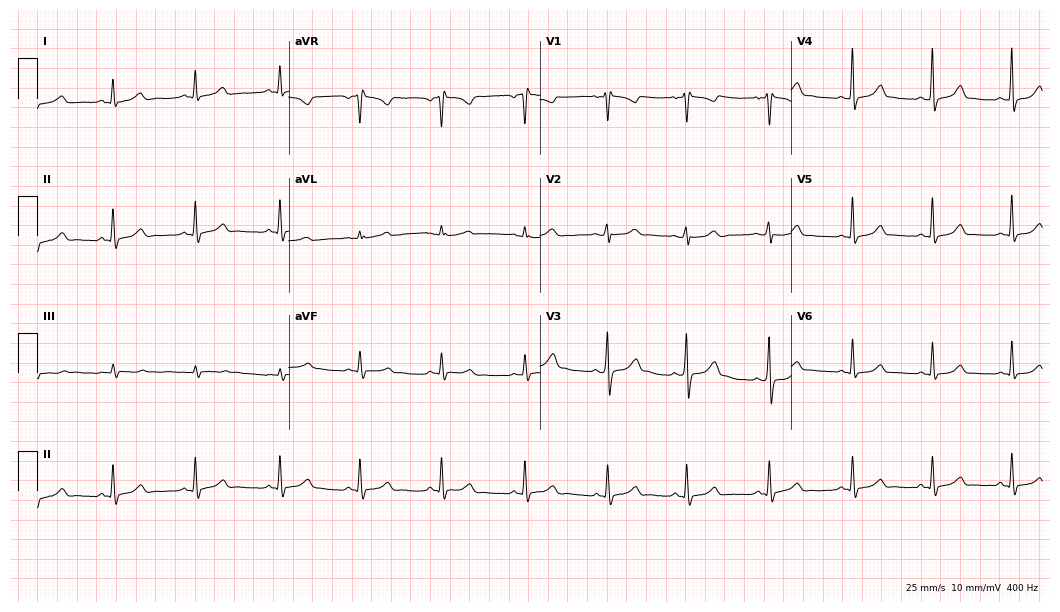
Standard 12-lead ECG recorded from a 21-year-old woman (10.2-second recording at 400 Hz). None of these six findings is recorded: first-degree AV block, right bundle branch block (RBBB), left bundle branch block (LBBB), sinus bradycardia, atrial fibrillation (AF), sinus tachycardia. Other findings, if any, are not listed.